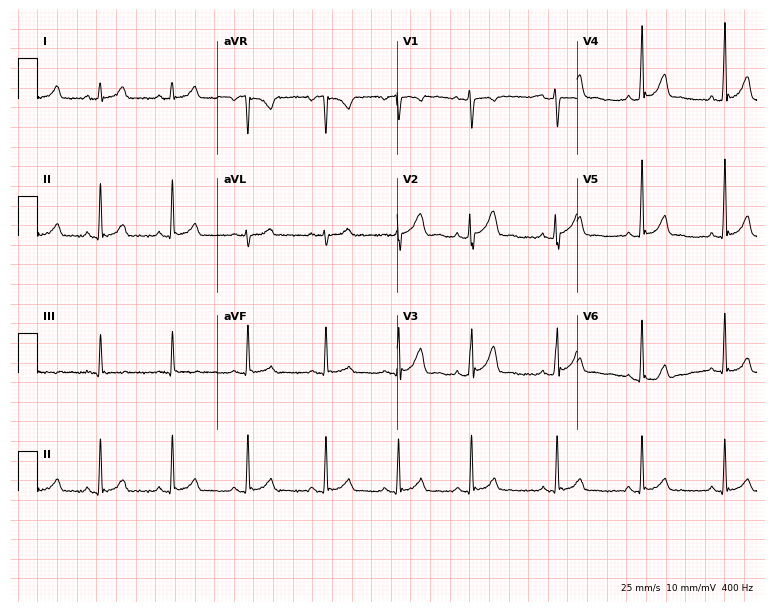
Resting 12-lead electrocardiogram (7.3-second recording at 400 Hz). Patient: a 20-year-old female. None of these six findings is recorded: first-degree AV block, right bundle branch block, left bundle branch block, sinus bradycardia, atrial fibrillation, sinus tachycardia.